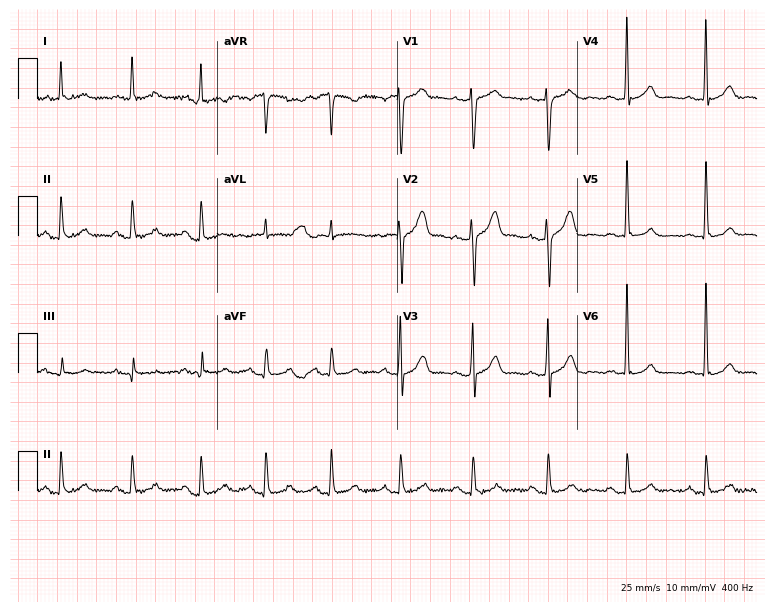
Standard 12-lead ECG recorded from a male patient, 39 years old. None of these six findings is recorded: first-degree AV block, right bundle branch block, left bundle branch block, sinus bradycardia, atrial fibrillation, sinus tachycardia.